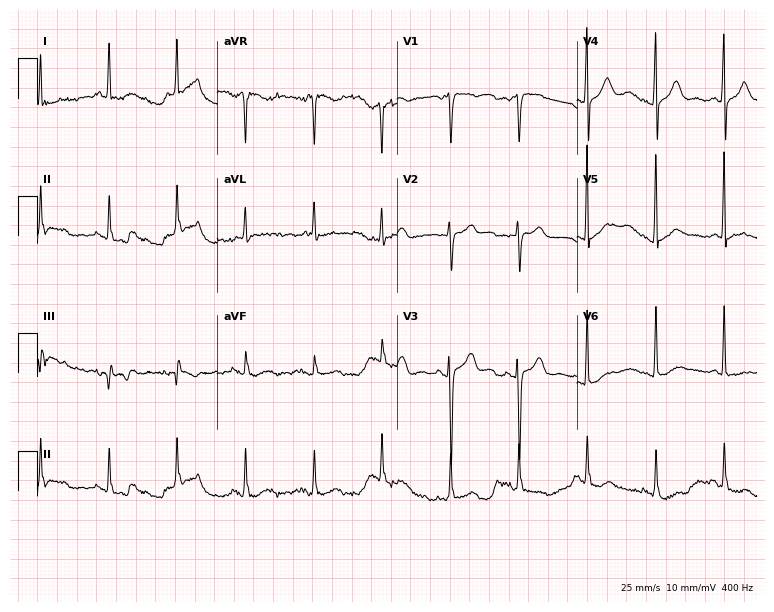
12-lead ECG from a woman, 82 years old (7.3-second recording at 400 Hz). No first-degree AV block, right bundle branch block (RBBB), left bundle branch block (LBBB), sinus bradycardia, atrial fibrillation (AF) or sinus tachycardia recorded for this tracing.